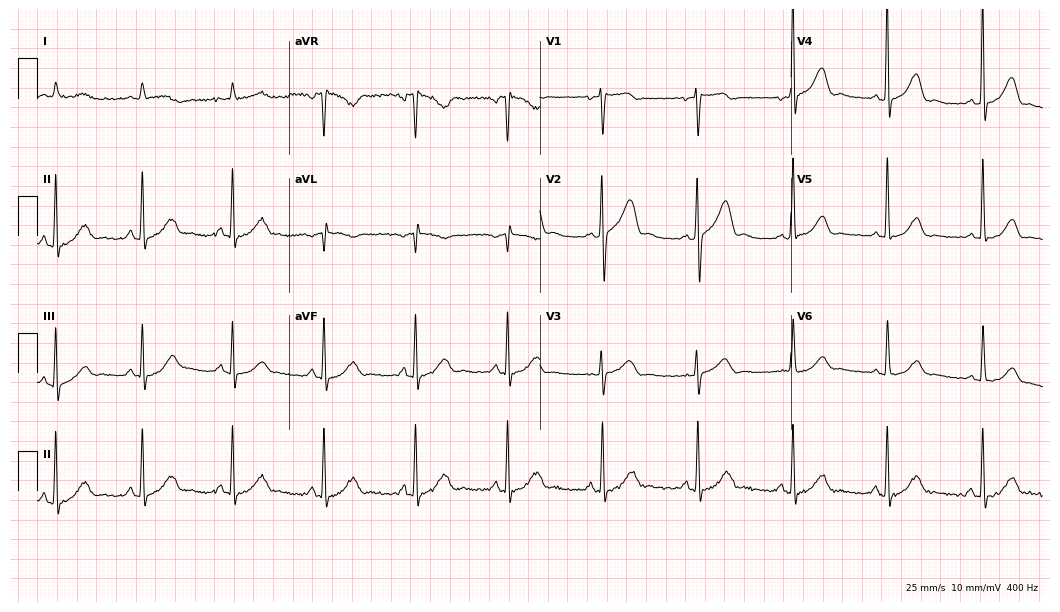
Resting 12-lead electrocardiogram (10.2-second recording at 400 Hz). Patient: an 83-year-old female. Read as a normal ECG.